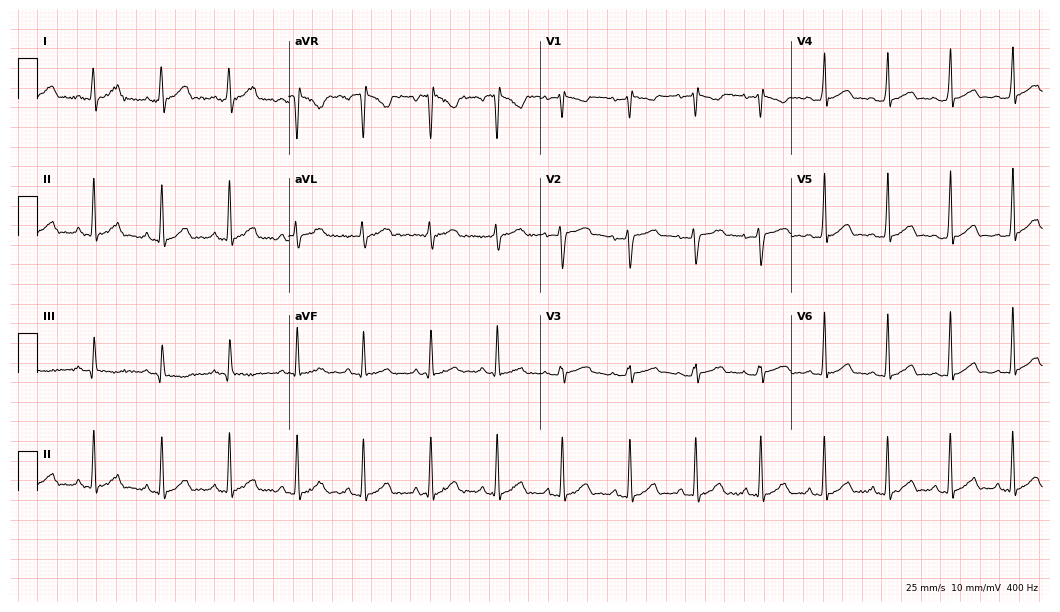
Electrocardiogram, a 24-year-old woman. Overall reading on record: normal ECG.